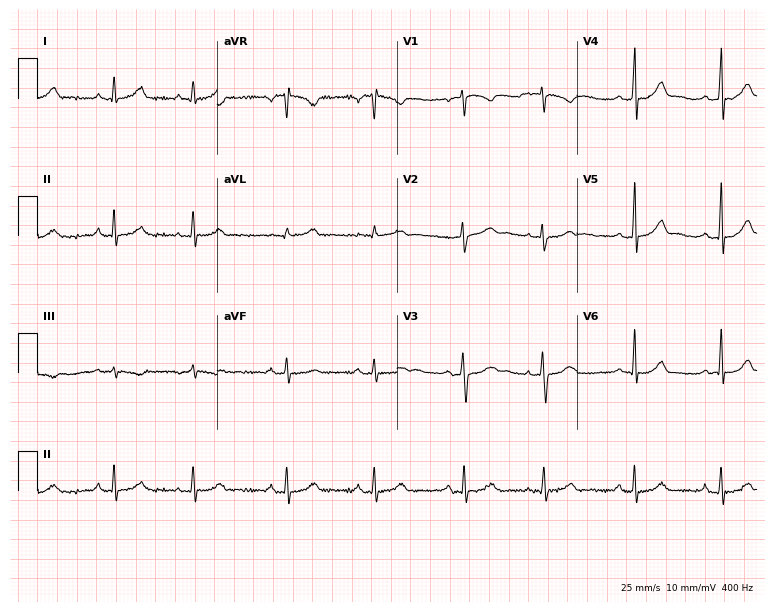
Electrocardiogram, a woman, 39 years old. Of the six screened findings (first-degree AV block, right bundle branch block, left bundle branch block, sinus bradycardia, atrial fibrillation, sinus tachycardia), none is recorded. Findings outside these six are not listed.